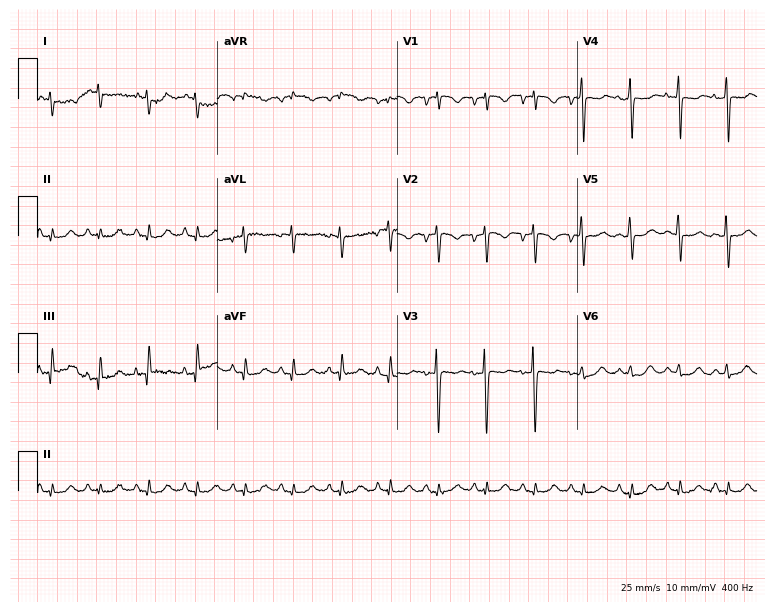
Resting 12-lead electrocardiogram (7.3-second recording at 400 Hz). Patient: a female, 85 years old. None of these six findings is recorded: first-degree AV block, right bundle branch block, left bundle branch block, sinus bradycardia, atrial fibrillation, sinus tachycardia.